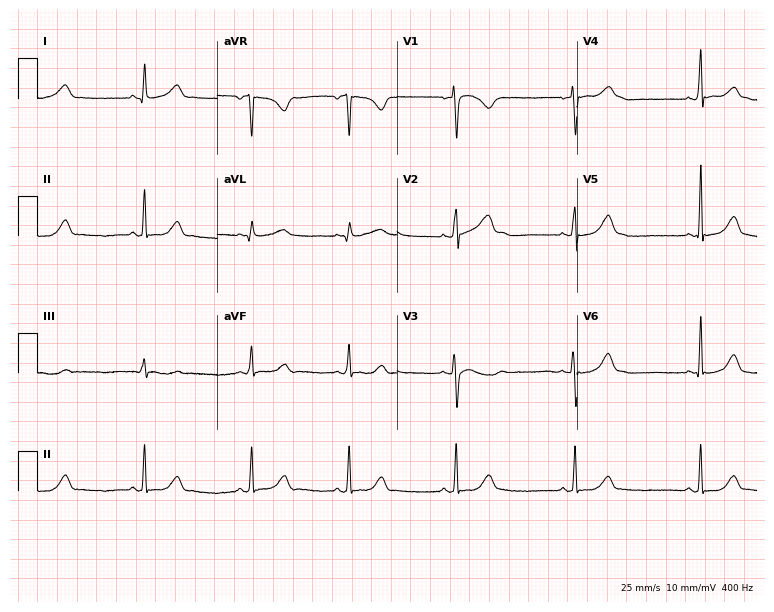
12-lead ECG (7.3-second recording at 400 Hz) from a 23-year-old female patient. Screened for six findings — first-degree AV block, right bundle branch block, left bundle branch block, sinus bradycardia, atrial fibrillation, sinus tachycardia — none is recorded. Only these six findings were labelled.